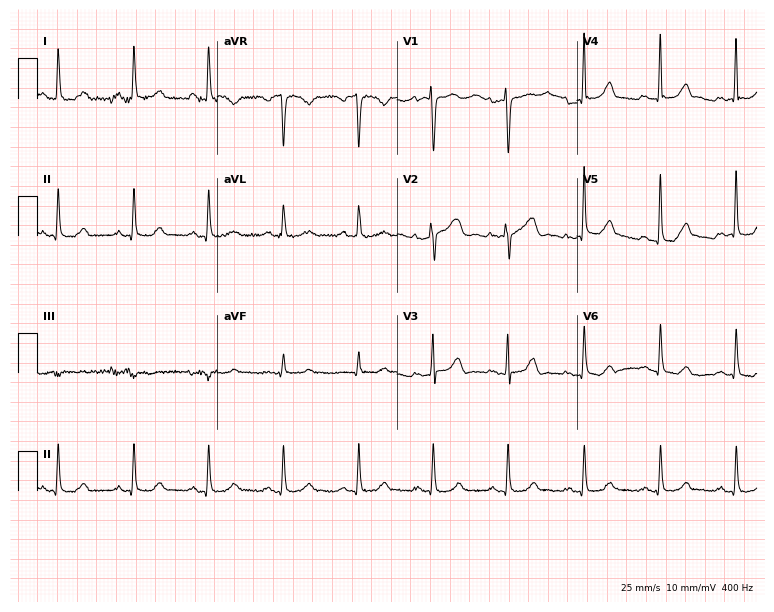
Electrocardiogram (7.3-second recording at 400 Hz), a 57-year-old female. Overall reading on record: normal ECG.